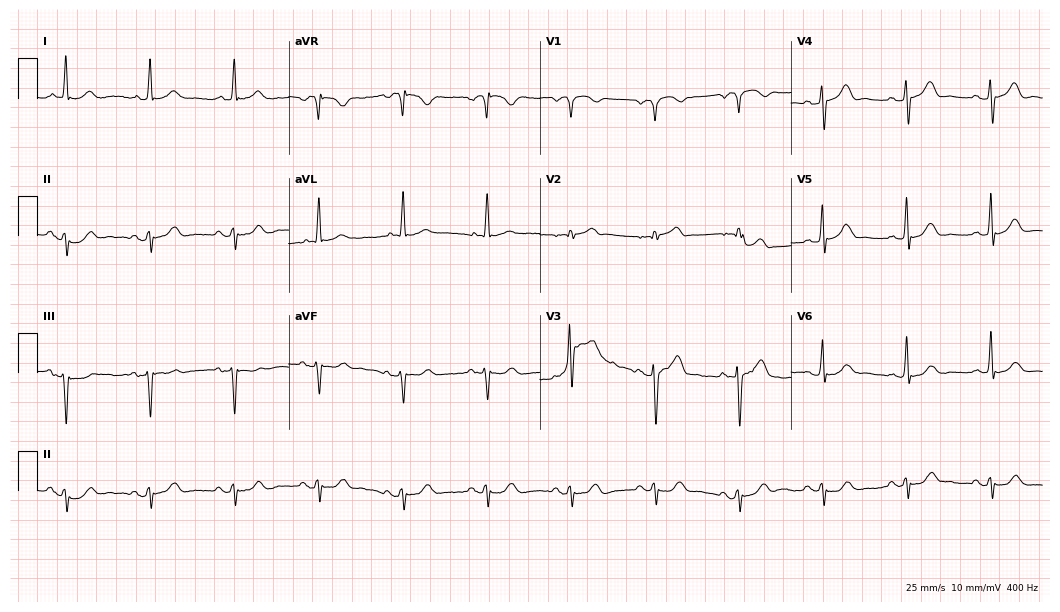
Standard 12-lead ECG recorded from a man, 78 years old. None of these six findings is recorded: first-degree AV block, right bundle branch block, left bundle branch block, sinus bradycardia, atrial fibrillation, sinus tachycardia.